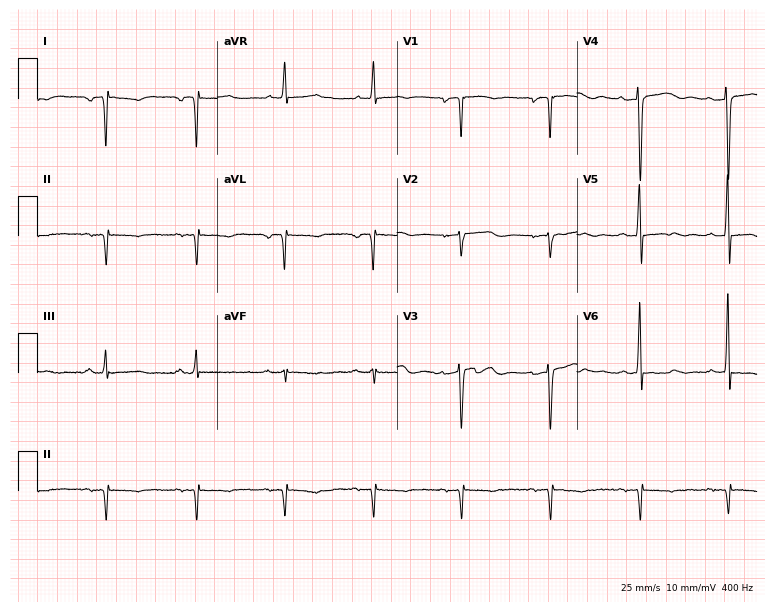
Resting 12-lead electrocardiogram. Patient: a 46-year-old female. None of these six findings is recorded: first-degree AV block, right bundle branch block (RBBB), left bundle branch block (LBBB), sinus bradycardia, atrial fibrillation (AF), sinus tachycardia. Only these six findings were labelled.